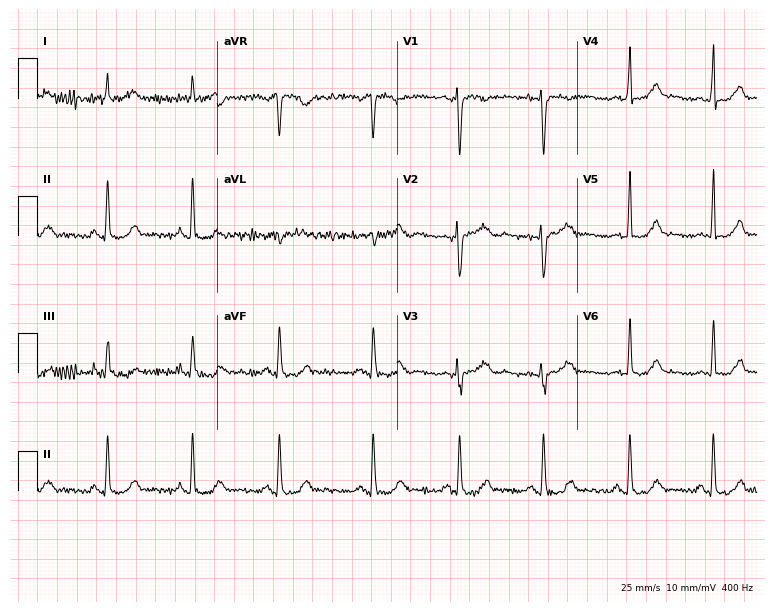
12-lead ECG from a female patient, 37 years old. No first-degree AV block, right bundle branch block, left bundle branch block, sinus bradycardia, atrial fibrillation or sinus tachycardia recorded for this tracing. Only these six findings were labelled.